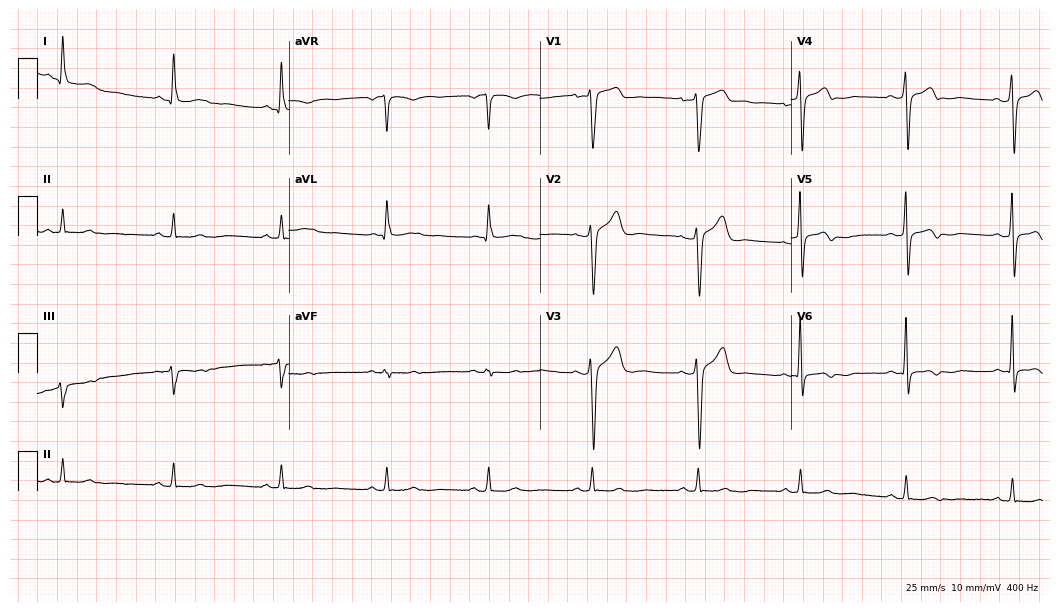
12-lead ECG from a 55-year-old male patient. No first-degree AV block, right bundle branch block (RBBB), left bundle branch block (LBBB), sinus bradycardia, atrial fibrillation (AF) or sinus tachycardia recorded for this tracing.